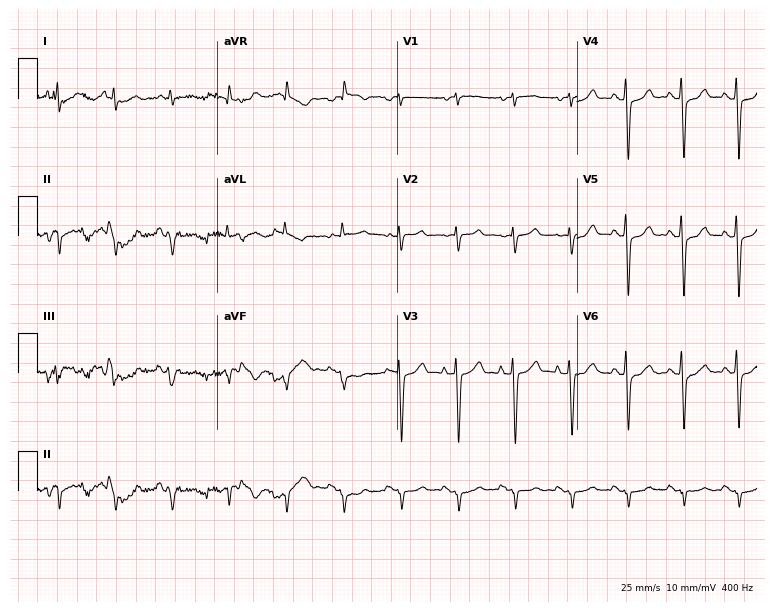
Electrocardiogram (7.3-second recording at 400 Hz), a 69-year-old man. Interpretation includes sinus tachycardia (a sinus rate of 100 beats per minute or more).